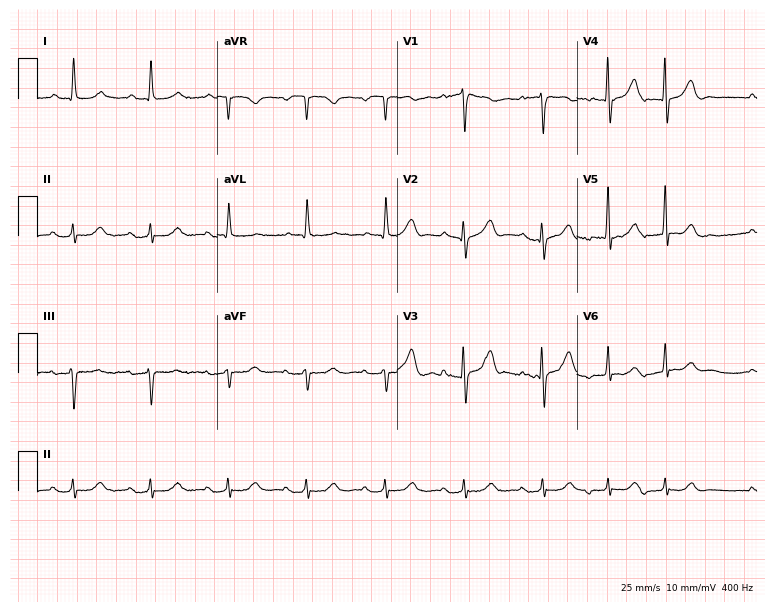
Standard 12-lead ECG recorded from a man, 79 years old. Read as a normal ECG.